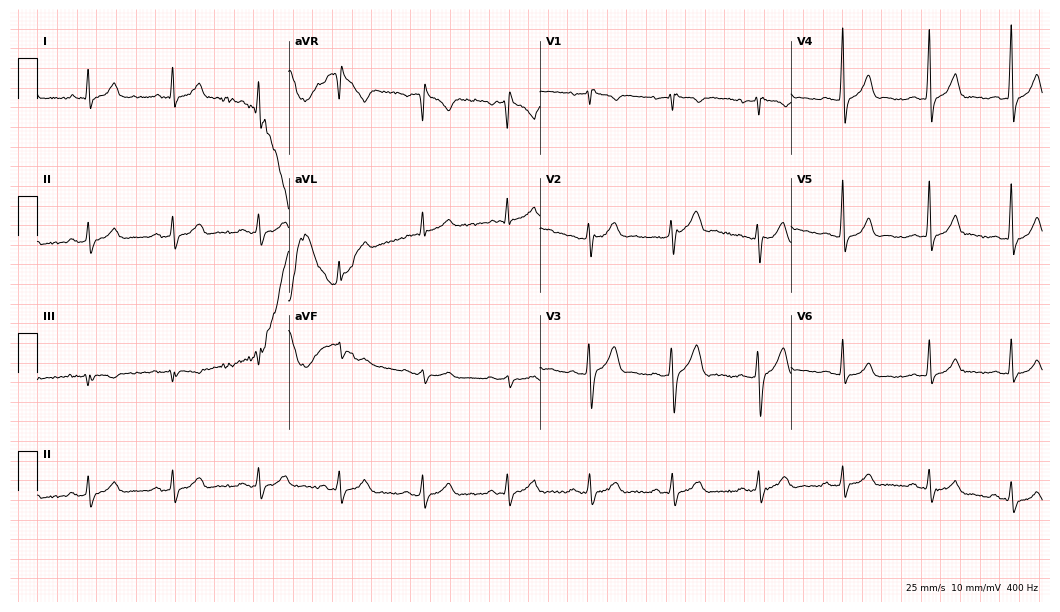
Resting 12-lead electrocardiogram. Patient: a 31-year-old male. None of these six findings is recorded: first-degree AV block, right bundle branch block (RBBB), left bundle branch block (LBBB), sinus bradycardia, atrial fibrillation (AF), sinus tachycardia. Findings outside these six are not listed.